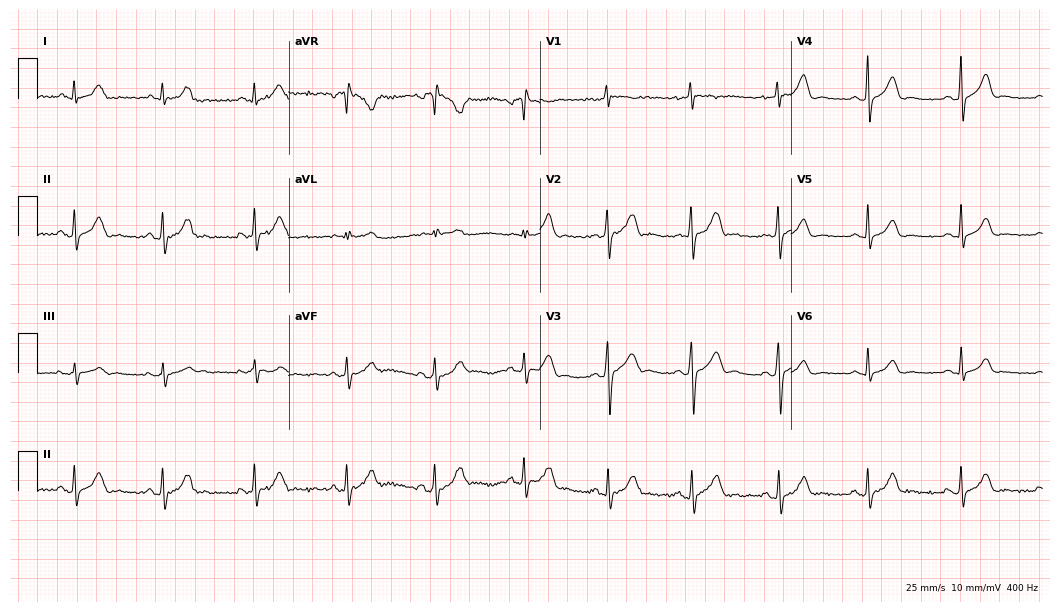
Electrocardiogram (10.2-second recording at 400 Hz), a 38-year-old female. Overall reading on record: normal ECG.